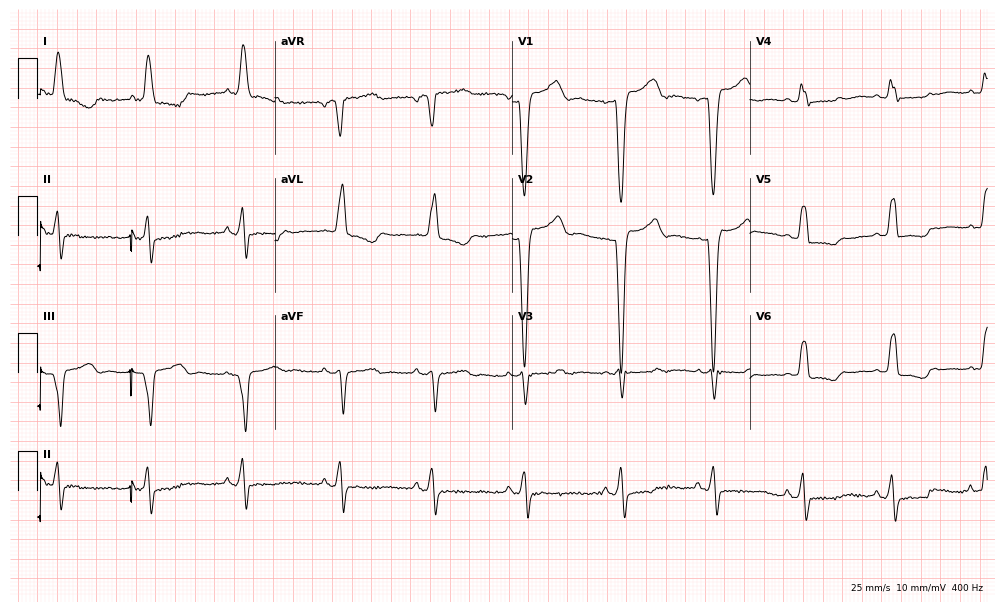
Resting 12-lead electrocardiogram (9.7-second recording at 400 Hz). Patient: a female, 73 years old. None of these six findings is recorded: first-degree AV block, right bundle branch block, left bundle branch block, sinus bradycardia, atrial fibrillation, sinus tachycardia. Other findings, if any, are not listed.